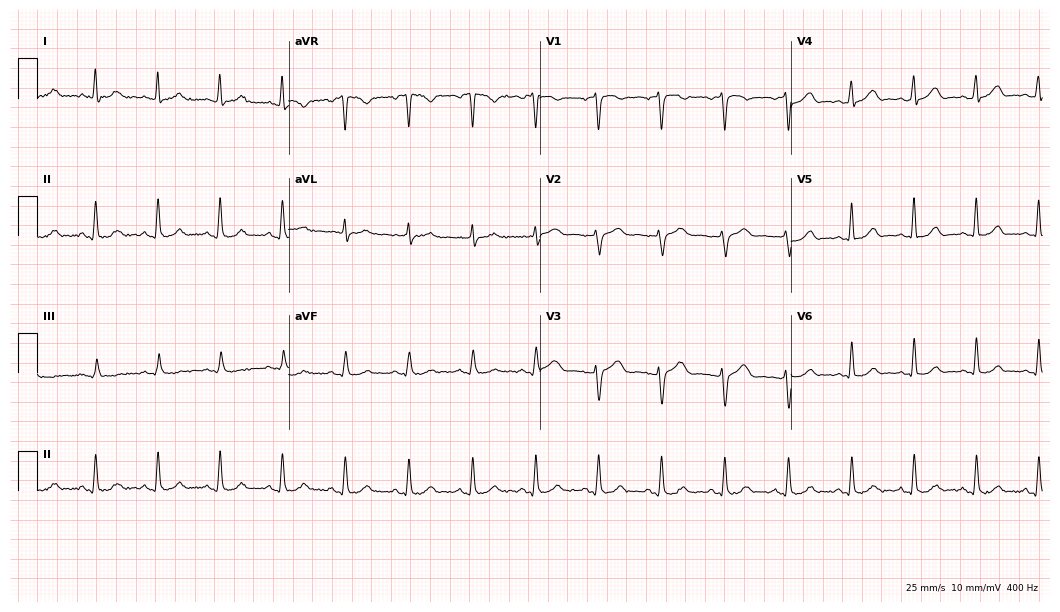
12-lead ECG (10.2-second recording at 400 Hz) from a female patient, 34 years old. Labelled as a normal ECG.